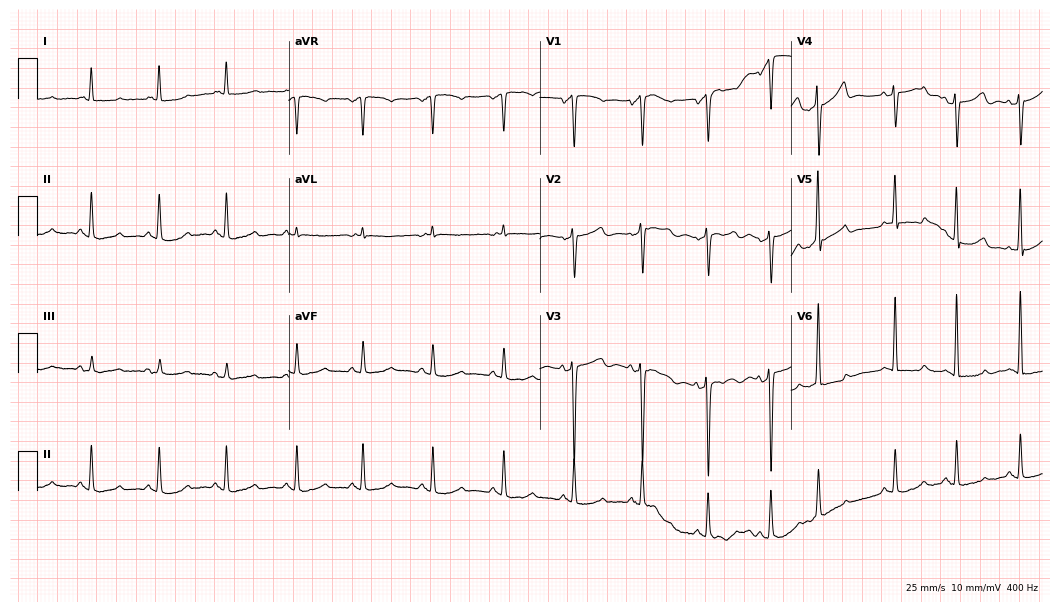
12-lead ECG from a 72-year-old woman. No first-degree AV block, right bundle branch block (RBBB), left bundle branch block (LBBB), sinus bradycardia, atrial fibrillation (AF) or sinus tachycardia recorded for this tracing. Findings outside these six are not listed.